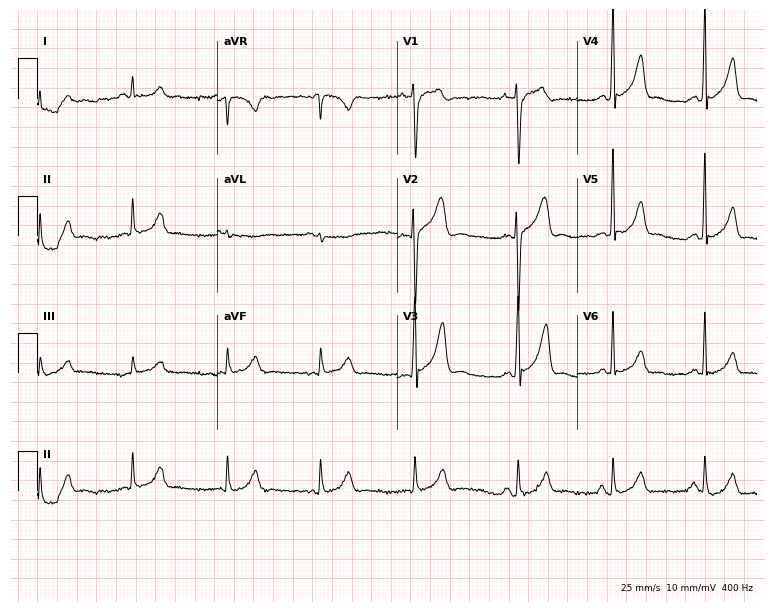
Electrocardiogram (7.3-second recording at 400 Hz), a male, 34 years old. Of the six screened findings (first-degree AV block, right bundle branch block, left bundle branch block, sinus bradycardia, atrial fibrillation, sinus tachycardia), none is recorded.